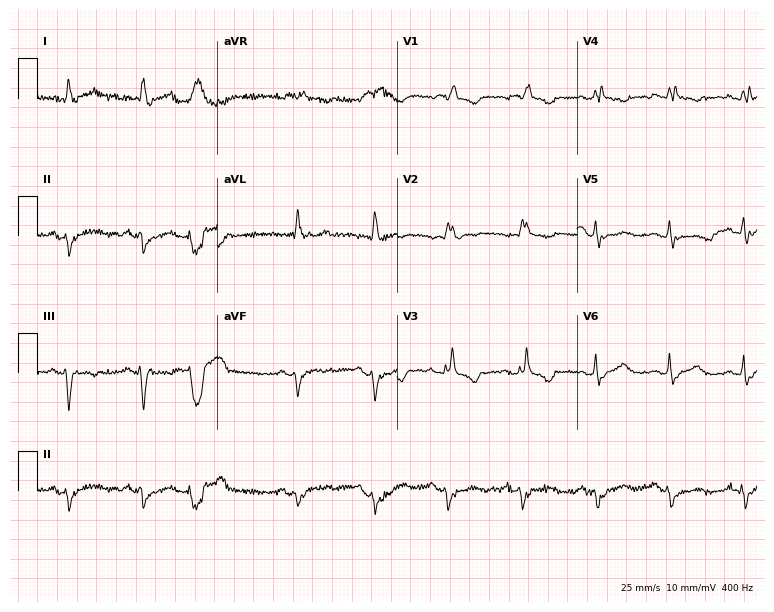
Resting 12-lead electrocardiogram (7.3-second recording at 400 Hz). Patient: a male, 73 years old. The tracing shows first-degree AV block, right bundle branch block (RBBB), left bundle branch block (LBBB).